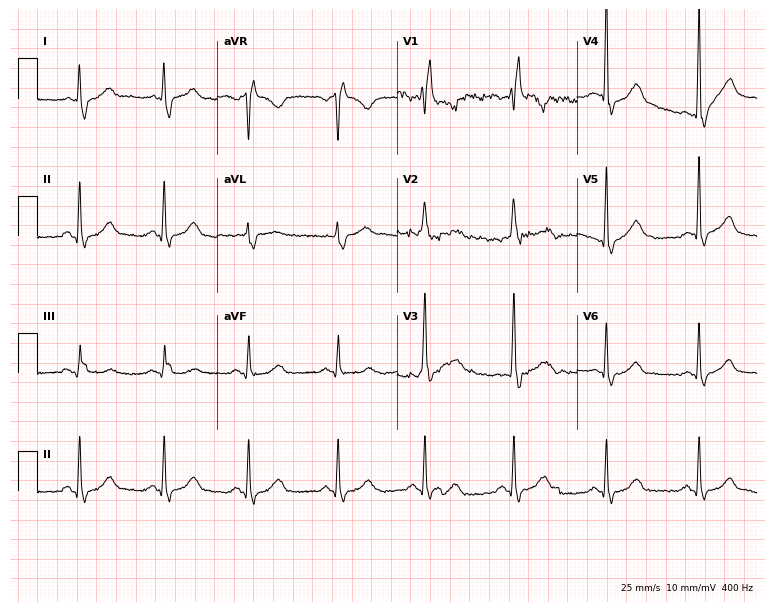
12-lead ECG (7.3-second recording at 400 Hz) from a 64-year-old man. Findings include right bundle branch block (RBBB).